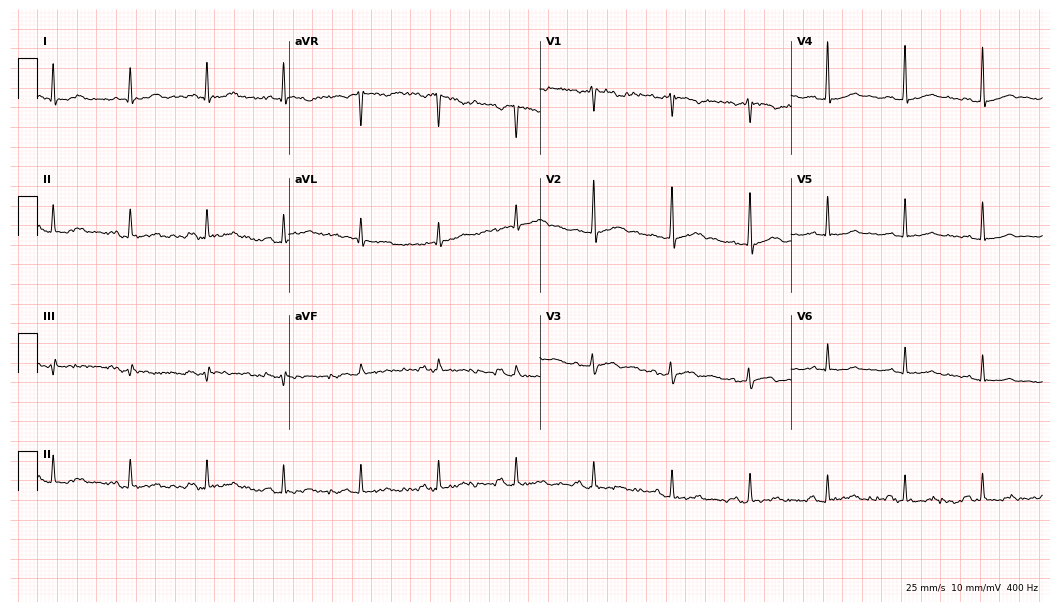
Electrocardiogram (10.2-second recording at 400 Hz), a female, 63 years old. Of the six screened findings (first-degree AV block, right bundle branch block, left bundle branch block, sinus bradycardia, atrial fibrillation, sinus tachycardia), none is recorded. Only these six findings were labelled.